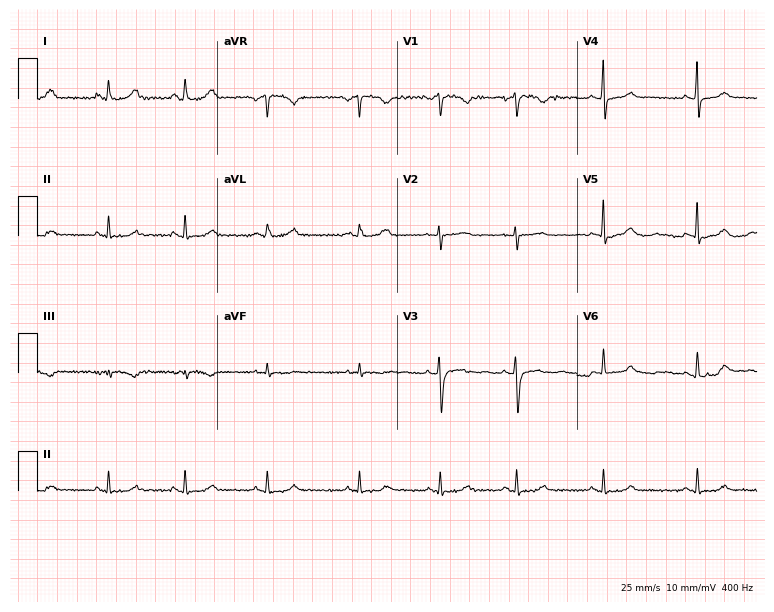
Electrocardiogram (7.3-second recording at 400 Hz), a female patient, 34 years old. Of the six screened findings (first-degree AV block, right bundle branch block (RBBB), left bundle branch block (LBBB), sinus bradycardia, atrial fibrillation (AF), sinus tachycardia), none is recorded. Other findings, if any, are not listed.